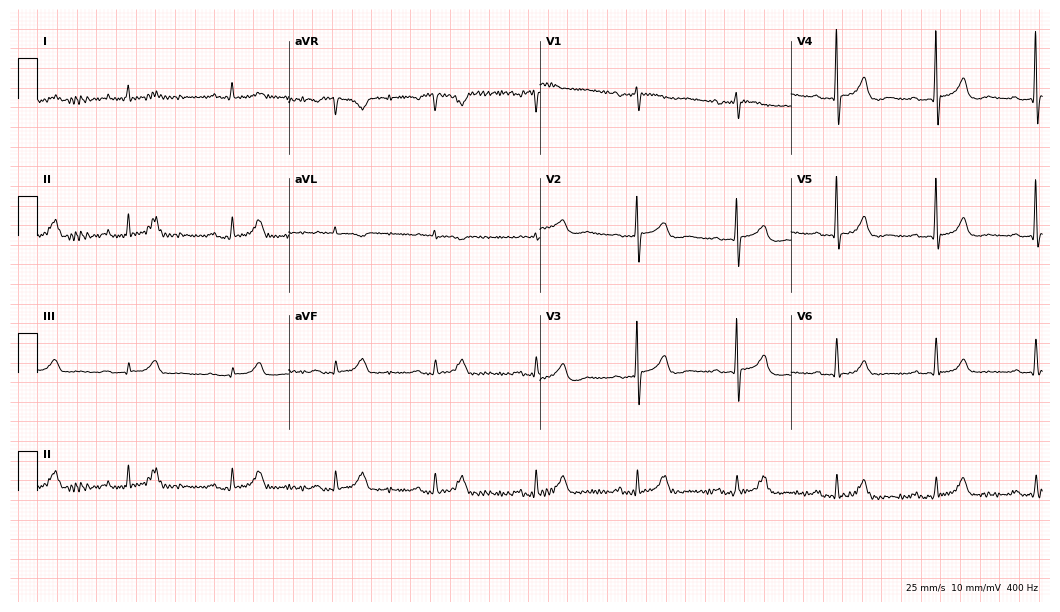
Standard 12-lead ECG recorded from an 80-year-old female (10.2-second recording at 400 Hz). The tracing shows first-degree AV block.